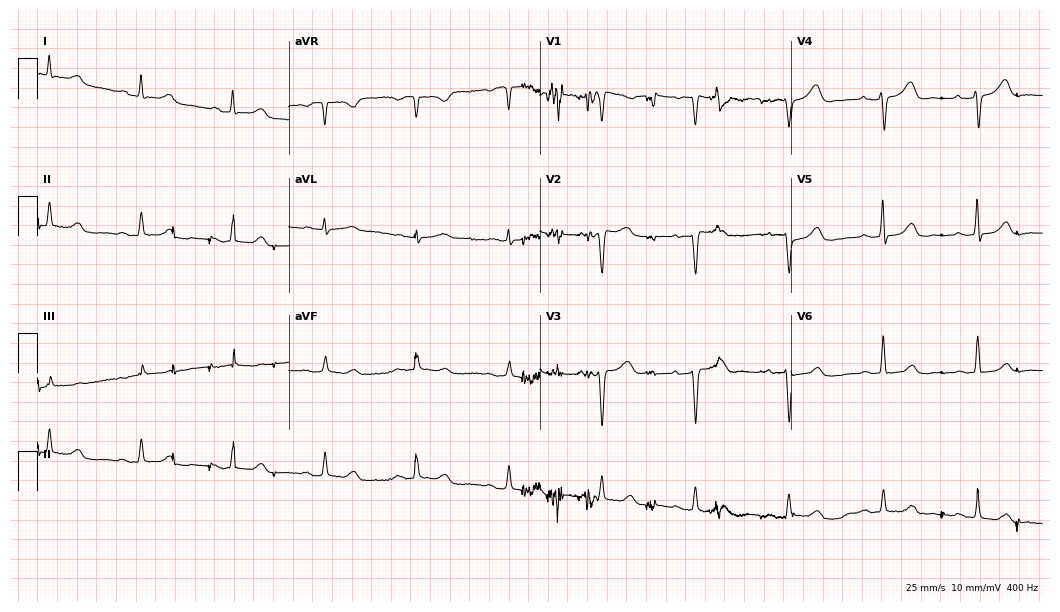
ECG (10.2-second recording at 400 Hz) — a 50-year-old female patient. Screened for six findings — first-degree AV block, right bundle branch block, left bundle branch block, sinus bradycardia, atrial fibrillation, sinus tachycardia — none is recorded. Findings outside these six are not listed.